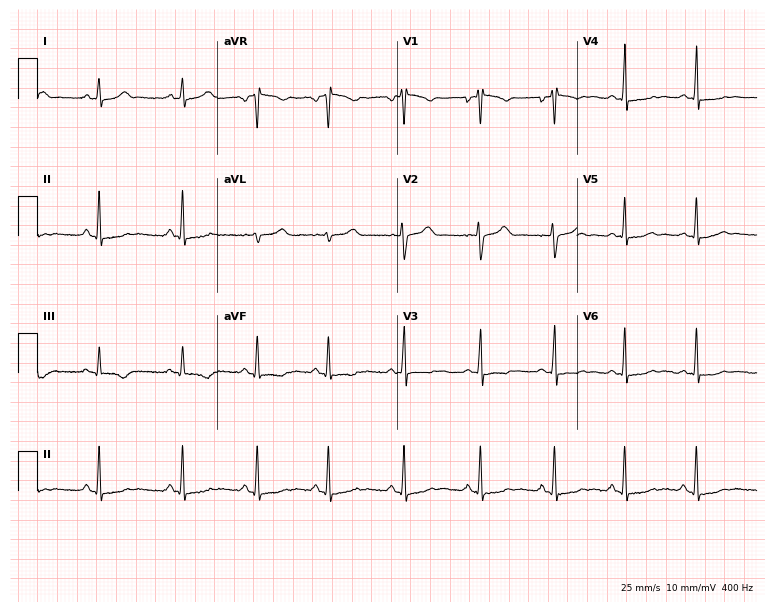
Standard 12-lead ECG recorded from a female, 26 years old. None of these six findings is recorded: first-degree AV block, right bundle branch block, left bundle branch block, sinus bradycardia, atrial fibrillation, sinus tachycardia.